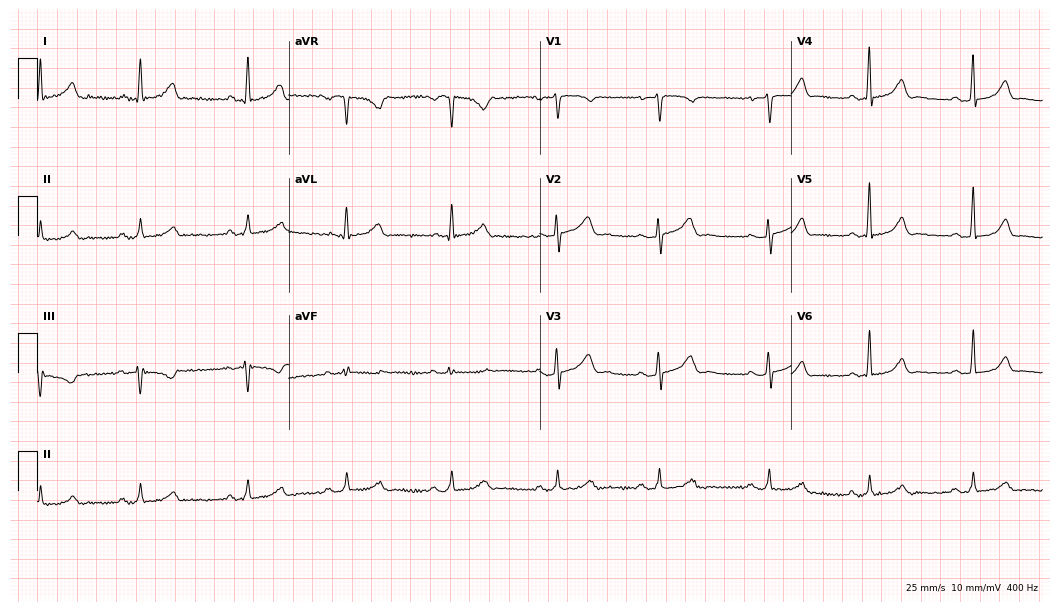
12-lead ECG from a female, 53 years old (10.2-second recording at 400 Hz). Recorded interpretation: within normal limits.